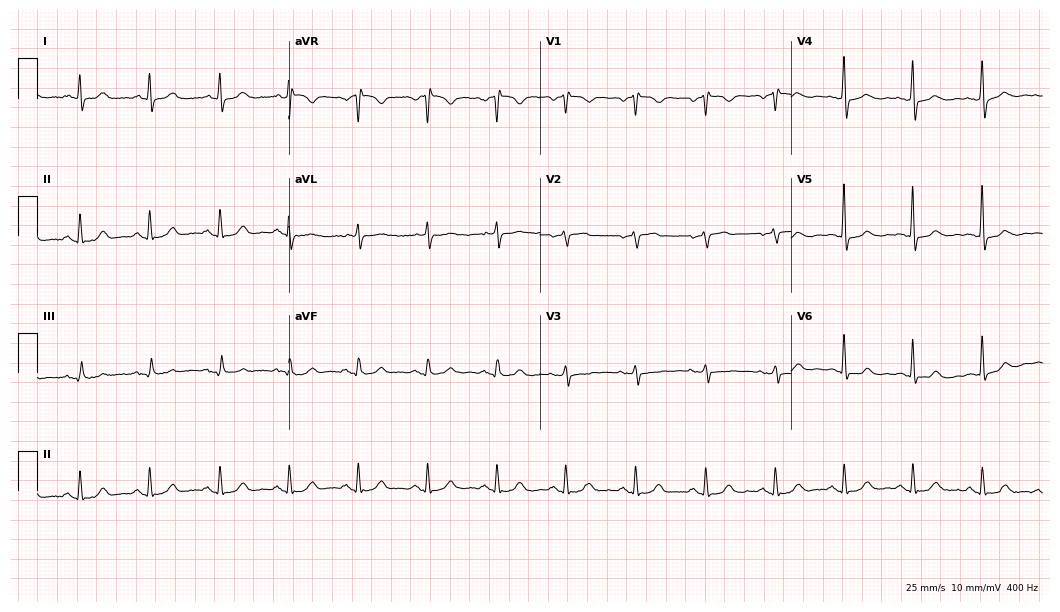
ECG (10.2-second recording at 400 Hz) — a 58-year-old female patient. Screened for six findings — first-degree AV block, right bundle branch block (RBBB), left bundle branch block (LBBB), sinus bradycardia, atrial fibrillation (AF), sinus tachycardia — none is recorded.